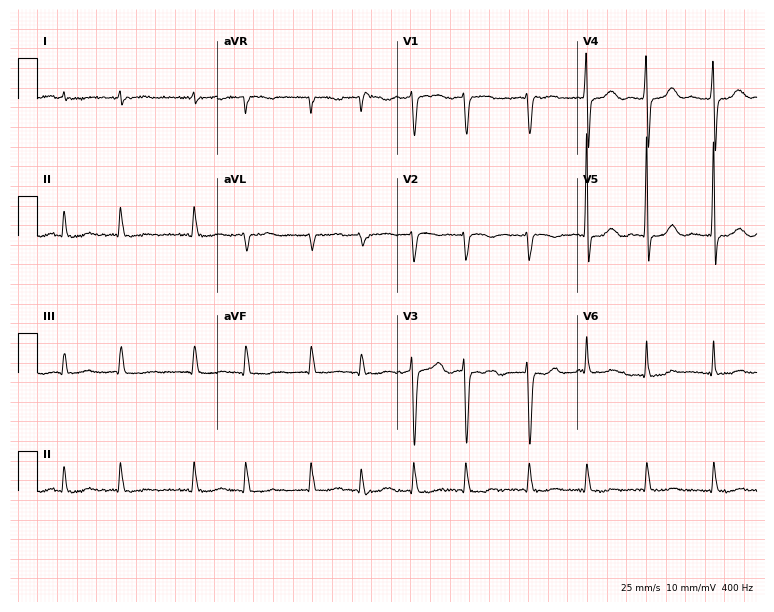
Resting 12-lead electrocardiogram. Patient: a female, 81 years old. The tracing shows atrial fibrillation.